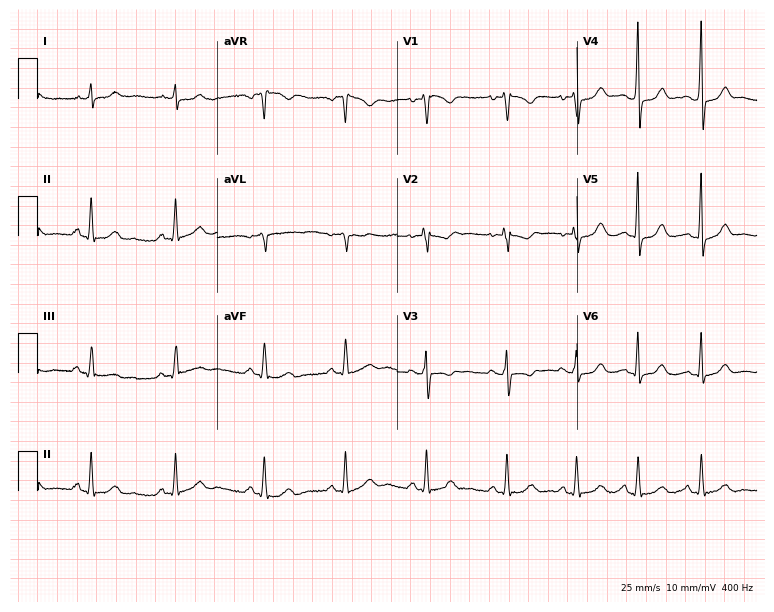
Standard 12-lead ECG recorded from a female patient, 19 years old (7.3-second recording at 400 Hz). Read as a normal ECG.